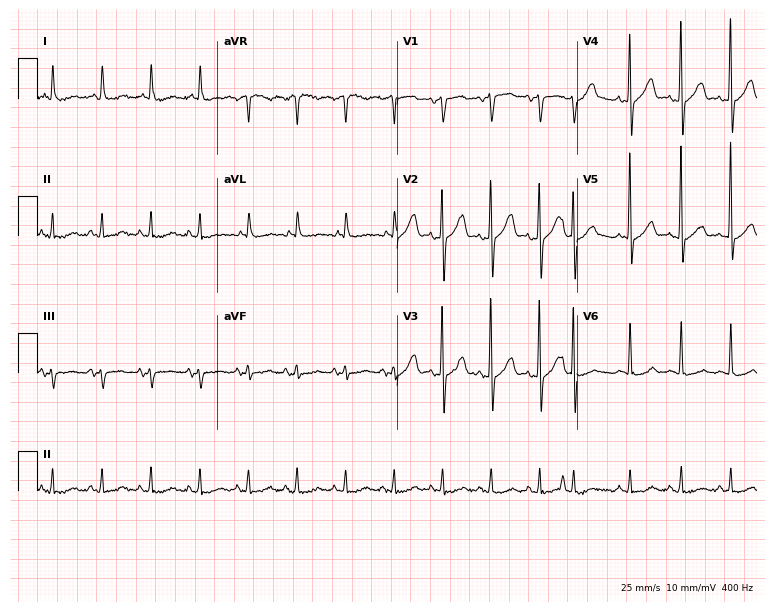
Standard 12-lead ECG recorded from a woman, 85 years old. The tracing shows sinus tachycardia (a sinus rate of 100 beats per minute or more).